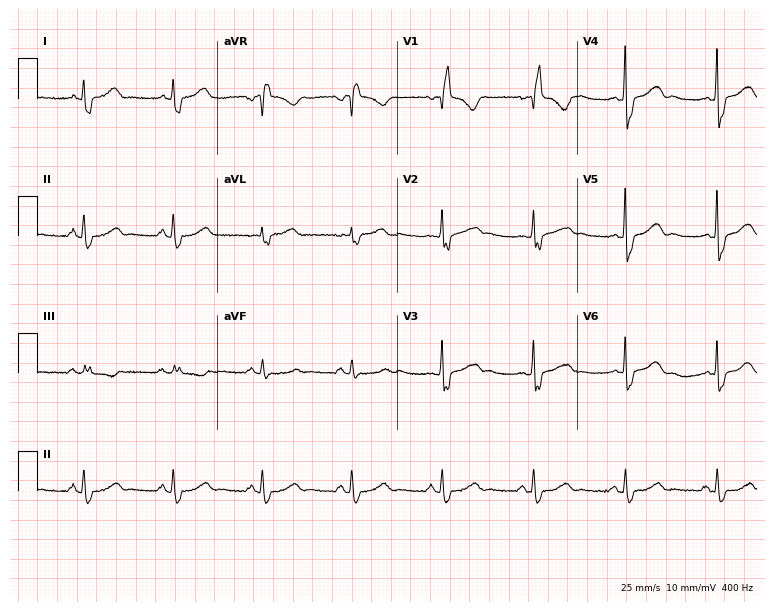
Electrocardiogram (7.3-second recording at 400 Hz), a 38-year-old woman. Interpretation includes right bundle branch block.